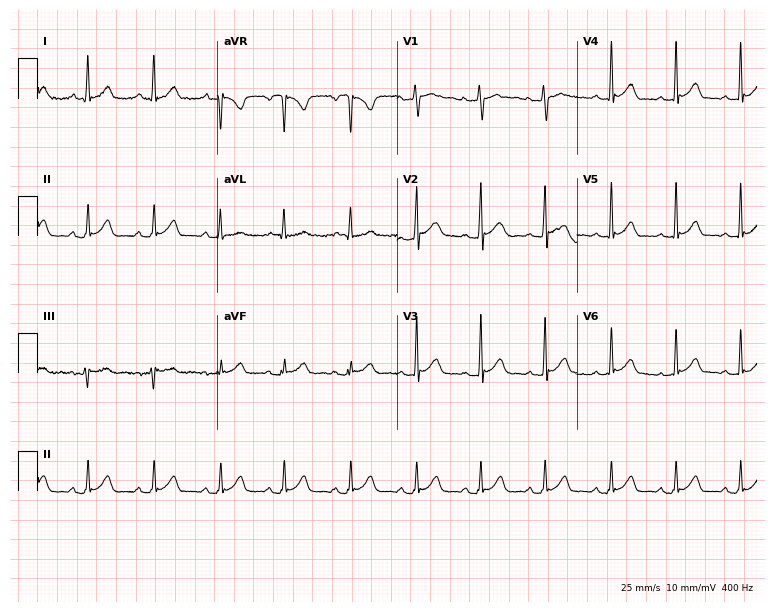
ECG (7.3-second recording at 400 Hz) — a man, 18 years old. Labelled as a normal ECG.